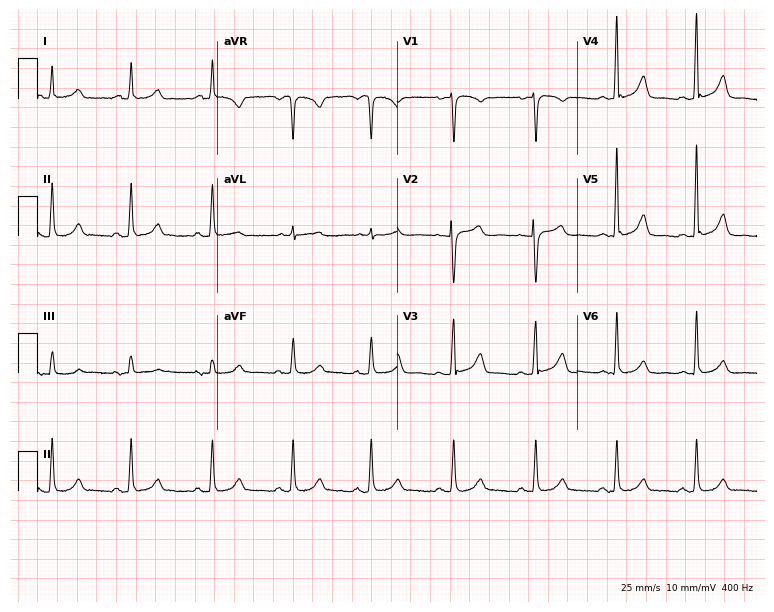
Standard 12-lead ECG recorded from a 57-year-old female (7.3-second recording at 400 Hz). Read as a normal ECG.